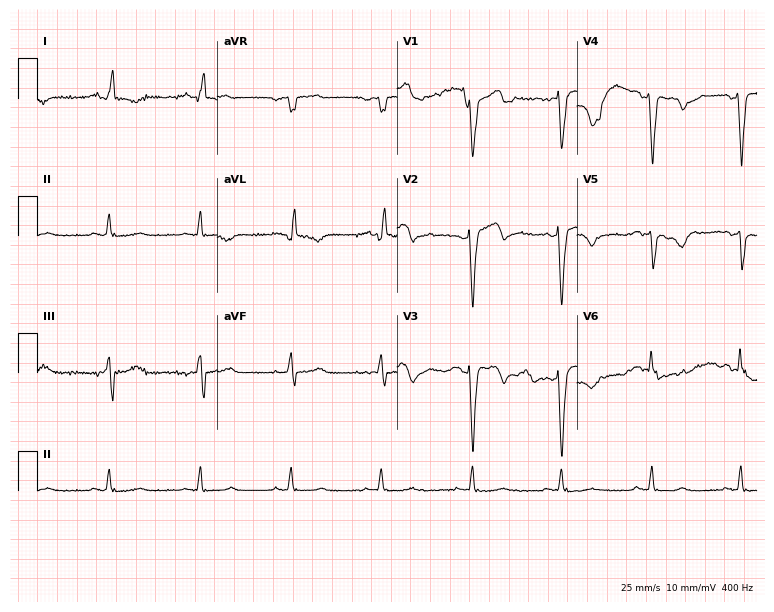
12-lead ECG (7.3-second recording at 400 Hz) from a male patient, 75 years old. Screened for six findings — first-degree AV block, right bundle branch block, left bundle branch block, sinus bradycardia, atrial fibrillation, sinus tachycardia — none is recorded. Findings outside these six are not listed.